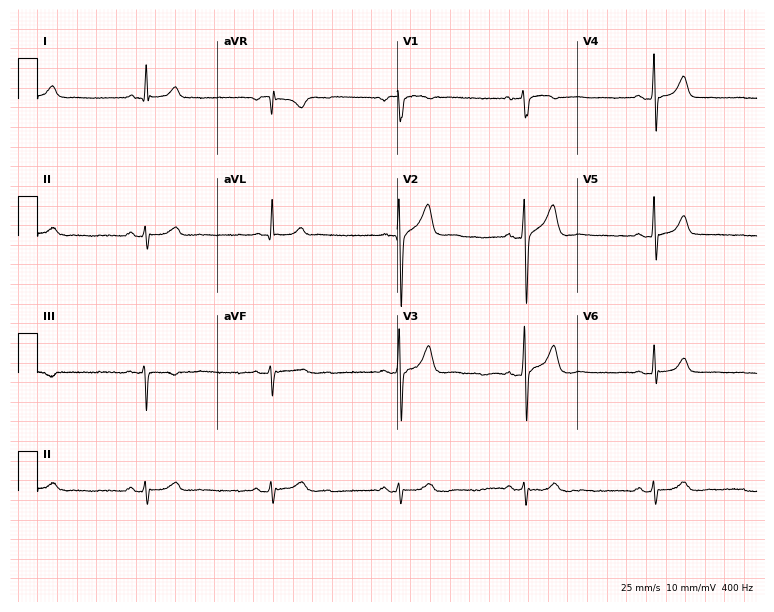
Electrocardiogram, a 44-year-old male. Interpretation includes sinus bradycardia (a sinus rate of 50 beats per minute or less).